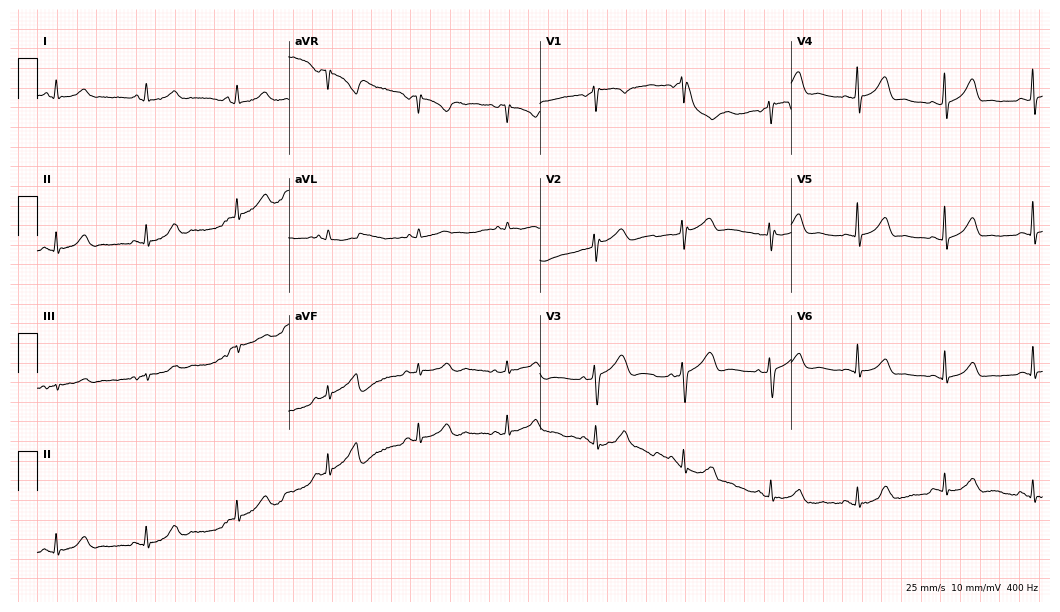
ECG (10.2-second recording at 400 Hz) — a 65-year-old male patient. Labelled as a normal ECG.